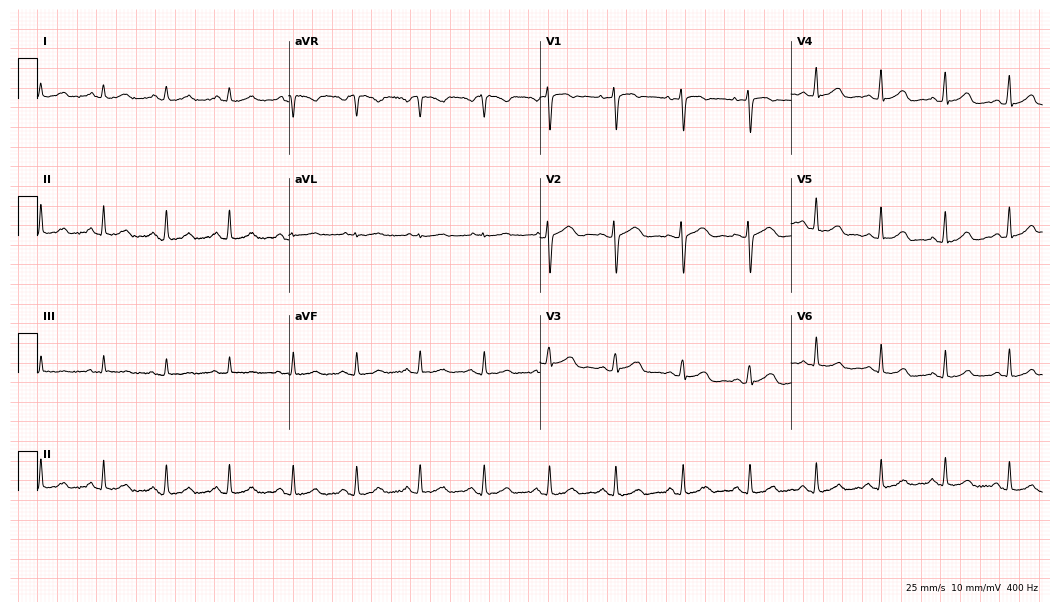
Standard 12-lead ECG recorded from a 43-year-old female patient (10.2-second recording at 400 Hz). Read as a normal ECG.